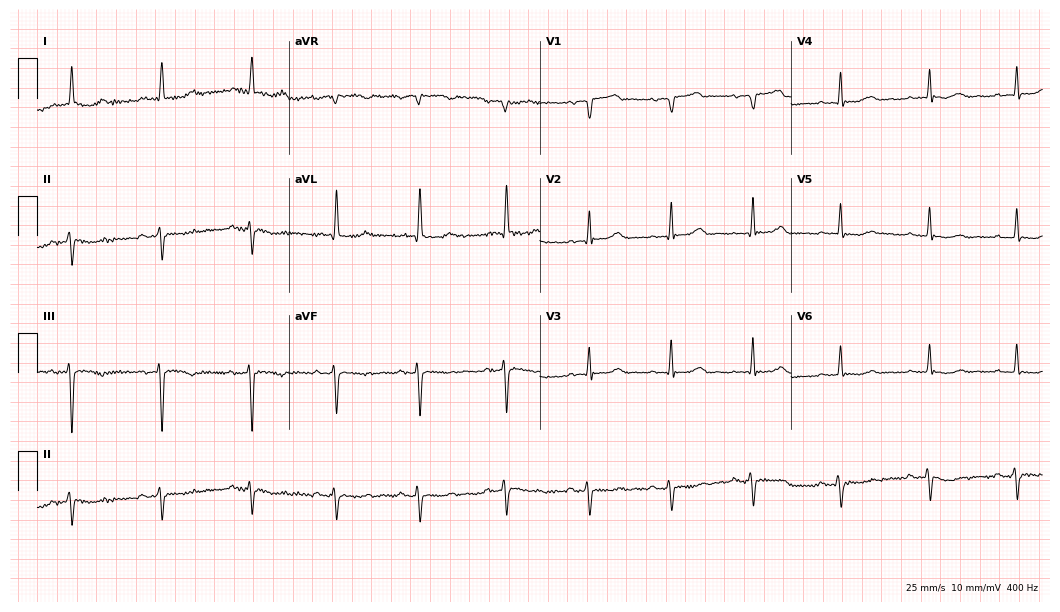
12-lead ECG from a 63-year-old woman (10.2-second recording at 400 Hz). No first-degree AV block, right bundle branch block, left bundle branch block, sinus bradycardia, atrial fibrillation or sinus tachycardia recorded for this tracing.